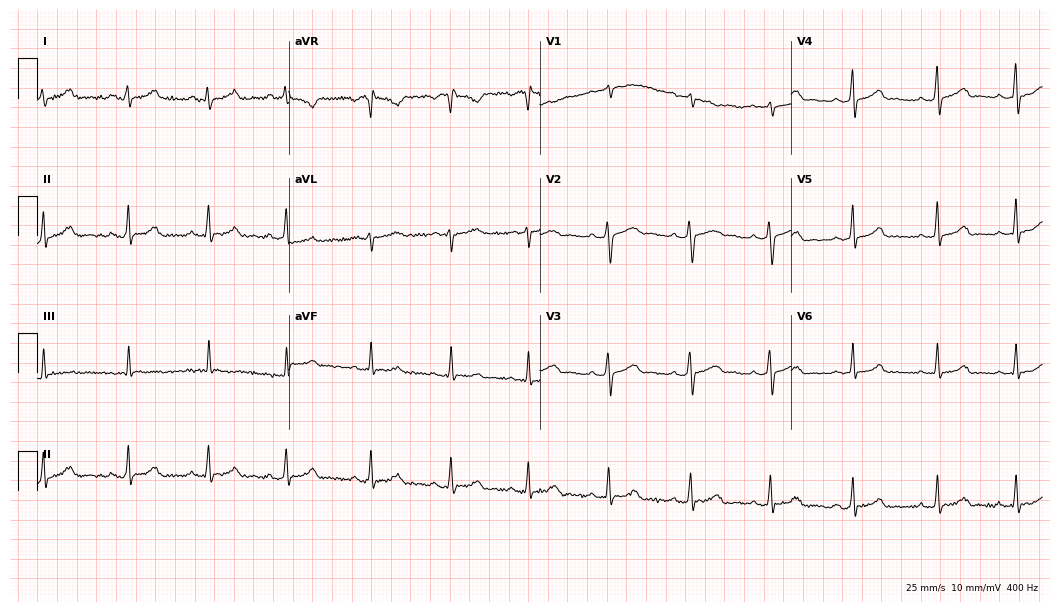
ECG — a 25-year-old female. Labelled as a normal ECG.